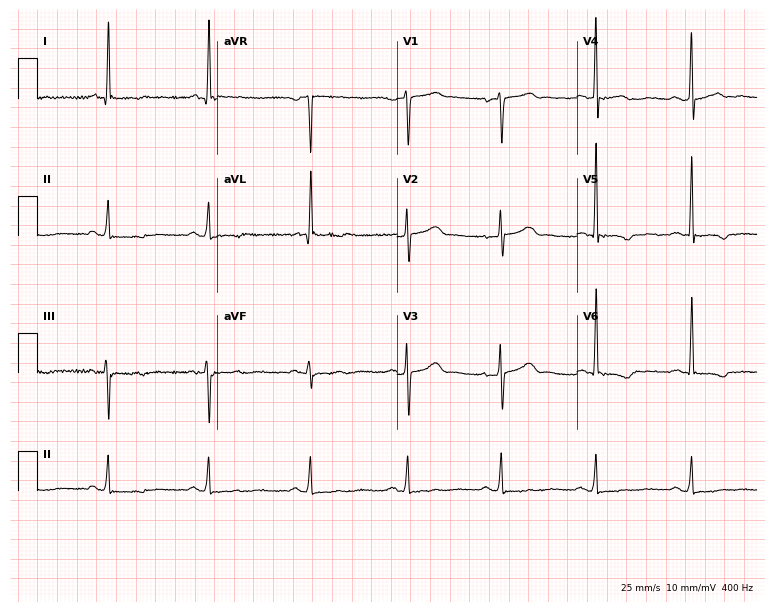
12-lead ECG from a female, 51 years old. No first-degree AV block, right bundle branch block (RBBB), left bundle branch block (LBBB), sinus bradycardia, atrial fibrillation (AF) or sinus tachycardia recorded for this tracing.